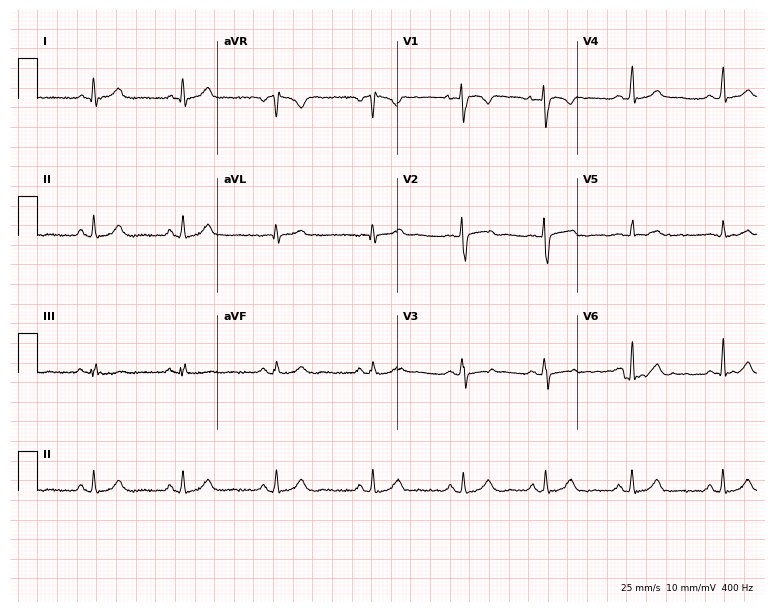
Standard 12-lead ECG recorded from a 39-year-old woman (7.3-second recording at 400 Hz). None of these six findings is recorded: first-degree AV block, right bundle branch block (RBBB), left bundle branch block (LBBB), sinus bradycardia, atrial fibrillation (AF), sinus tachycardia.